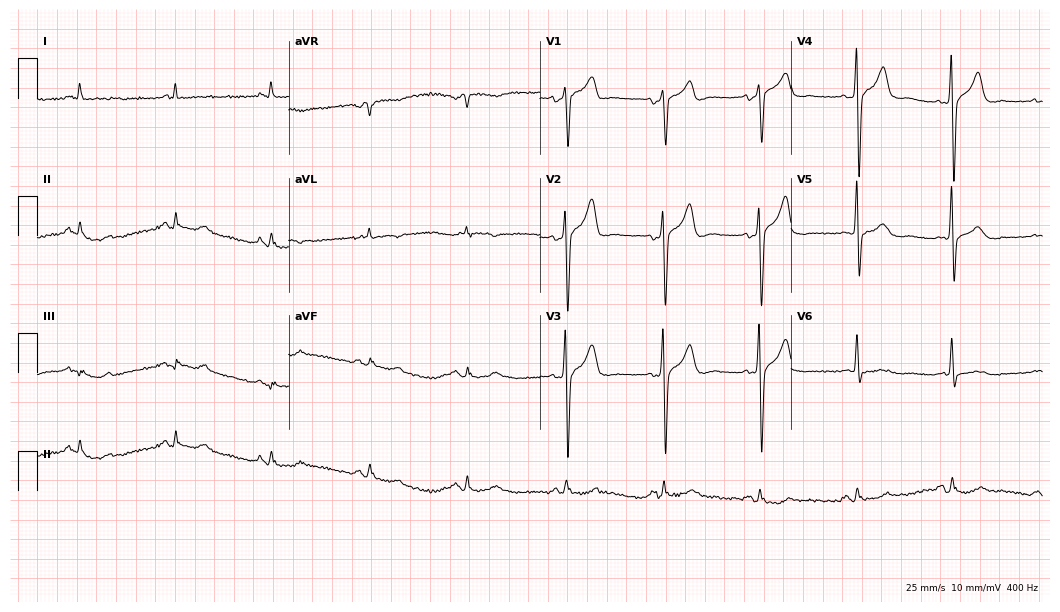
Electrocardiogram (10.2-second recording at 400 Hz), a 66-year-old man. Of the six screened findings (first-degree AV block, right bundle branch block (RBBB), left bundle branch block (LBBB), sinus bradycardia, atrial fibrillation (AF), sinus tachycardia), none is recorded. Only these six findings were labelled.